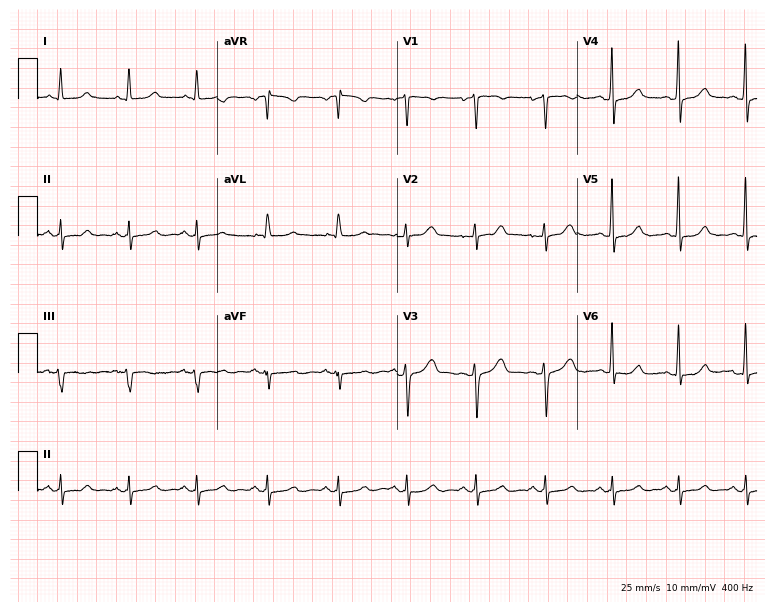
Resting 12-lead electrocardiogram. Patient: a female, 37 years old. Read as a normal ECG.